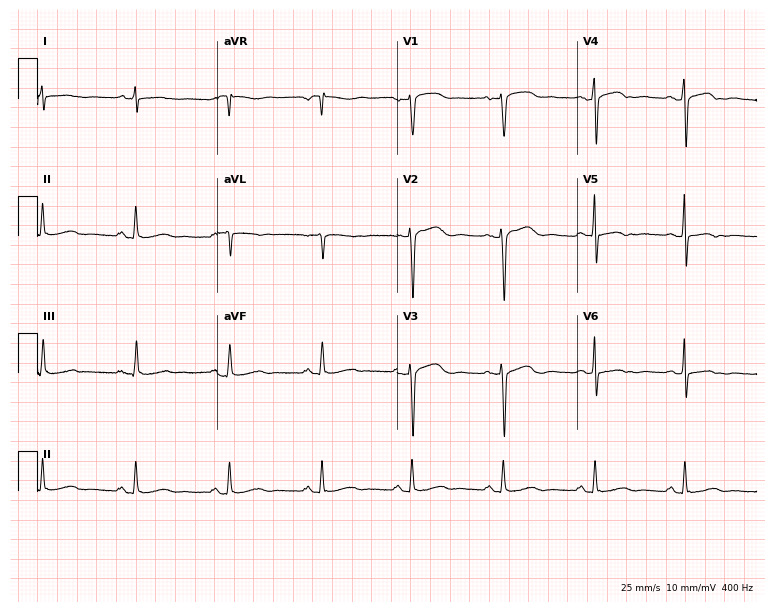
12-lead ECG from a 51-year-old female. Labelled as a normal ECG.